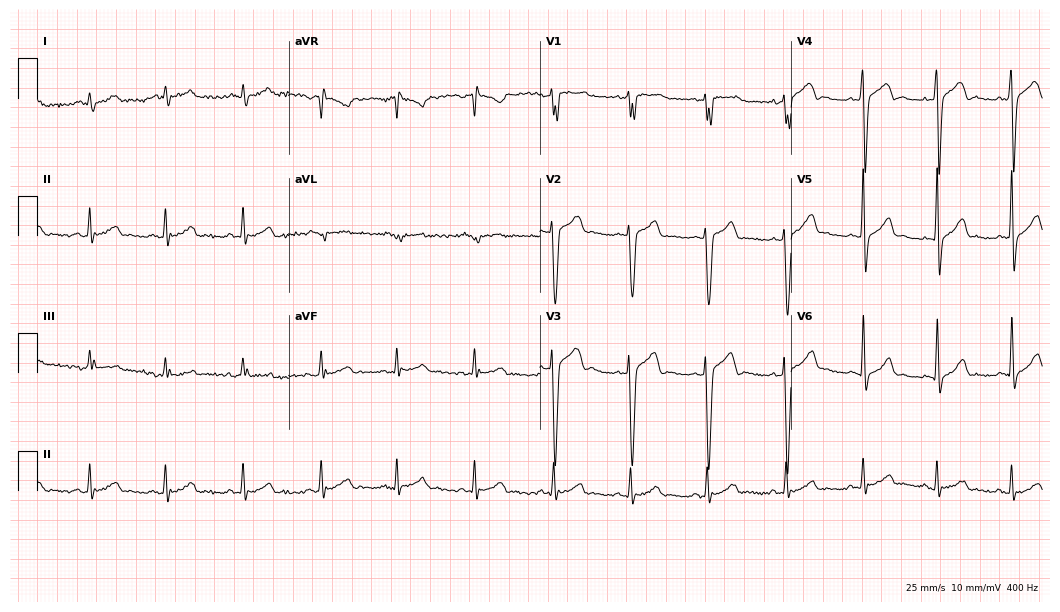
12-lead ECG (10.2-second recording at 400 Hz) from a man, 29 years old. Labelled as a normal ECG.